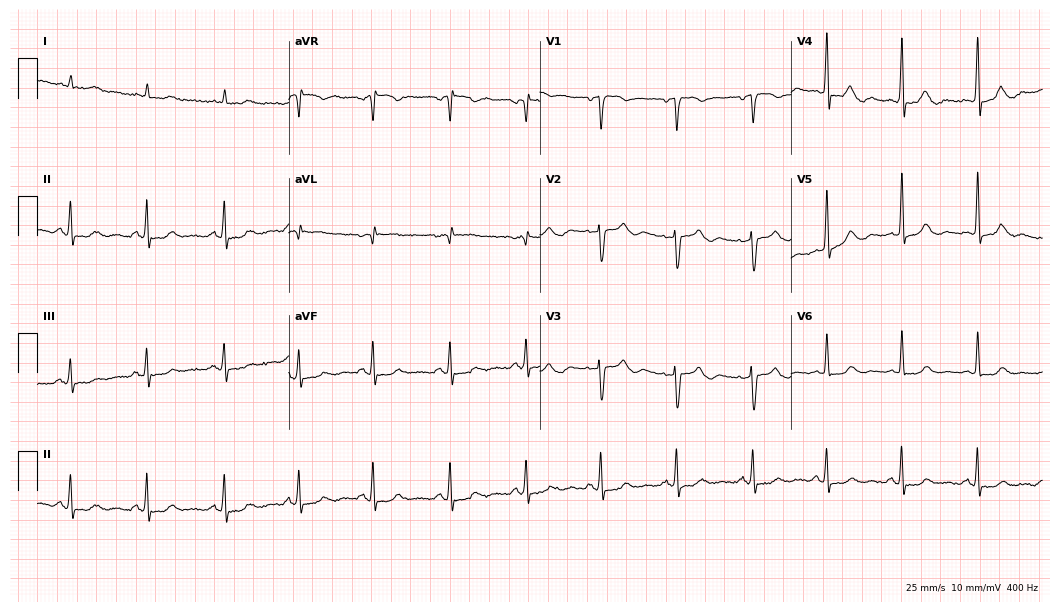
Electrocardiogram, a female patient, 71 years old. Of the six screened findings (first-degree AV block, right bundle branch block, left bundle branch block, sinus bradycardia, atrial fibrillation, sinus tachycardia), none is recorded. Only these six findings were labelled.